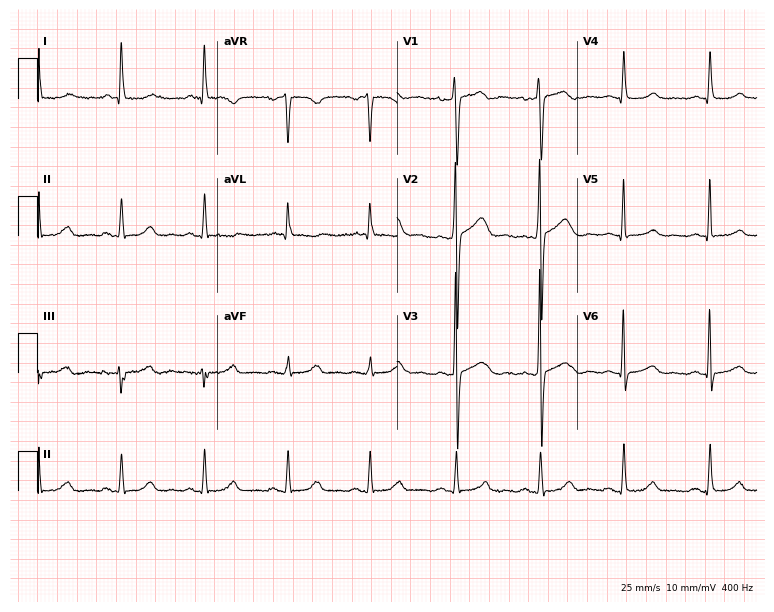
12-lead ECG from a 55-year-old female (7.3-second recording at 400 Hz). Recorded interpretation: within normal limits.